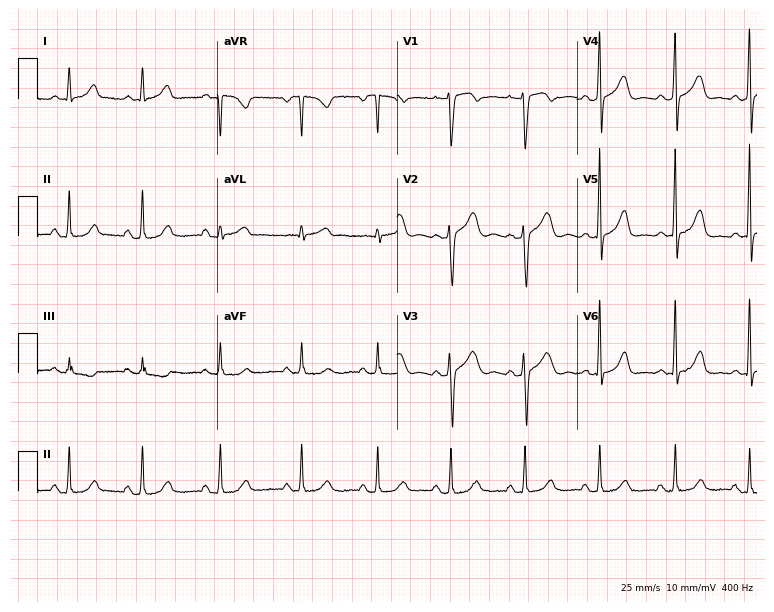
Resting 12-lead electrocardiogram (7.3-second recording at 400 Hz). Patient: a 44-year-old woman. None of these six findings is recorded: first-degree AV block, right bundle branch block, left bundle branch block, sinus bradycardia, atrial fibrillation, sinus tachycardia. Other findings, if any, are not listed.